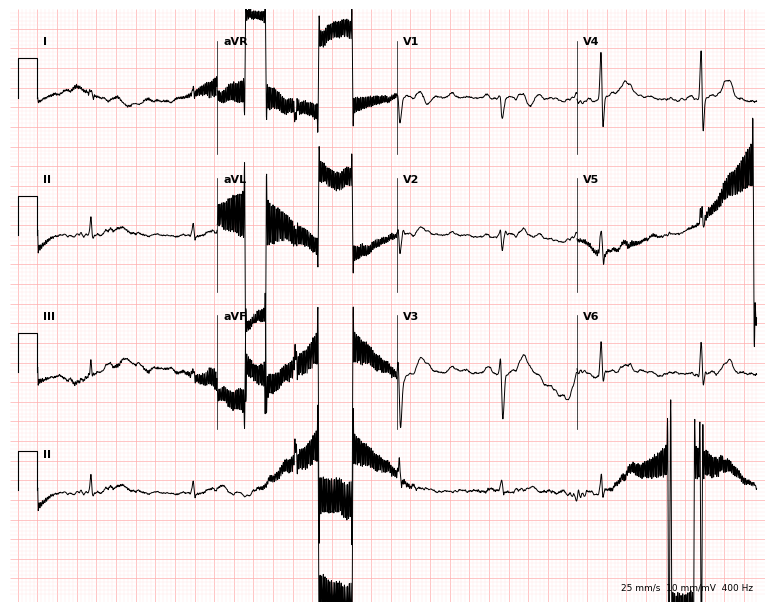
Standard 12-lead ECG recorded from a male, 48 years old (7.3-second recording at 400 Hz). None of these six findings is recorded: first-degree AV block, right bundle branch block (RBBB), left bundle branch block (LBBB), sinus bradycardia, atrial fibrillation (AF), sinus tachycardia.